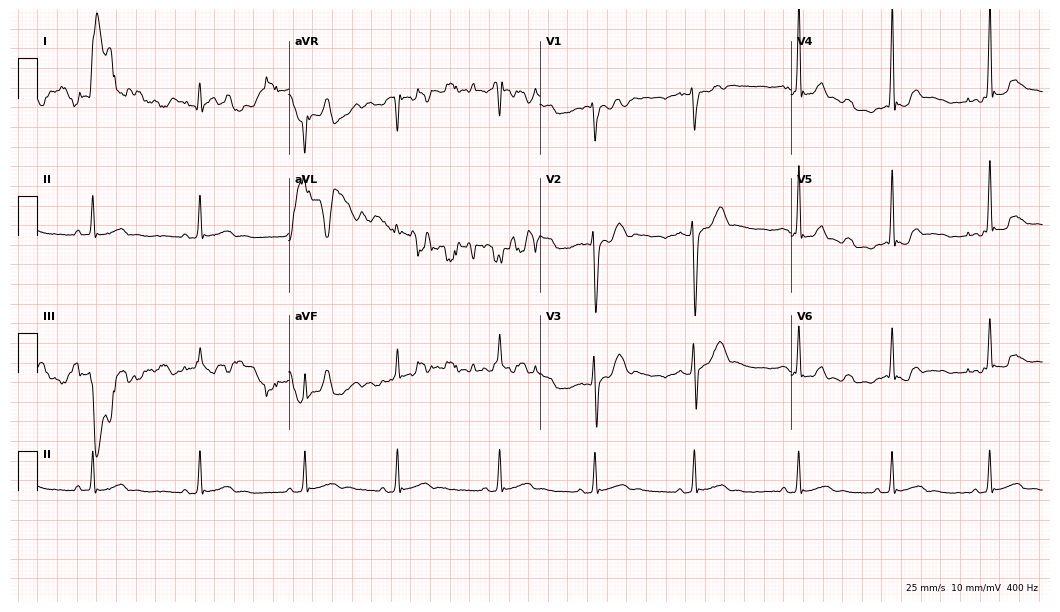
Standard 12-lead ECG recorded from a woman, 18 years old. Read as a normal ECG.